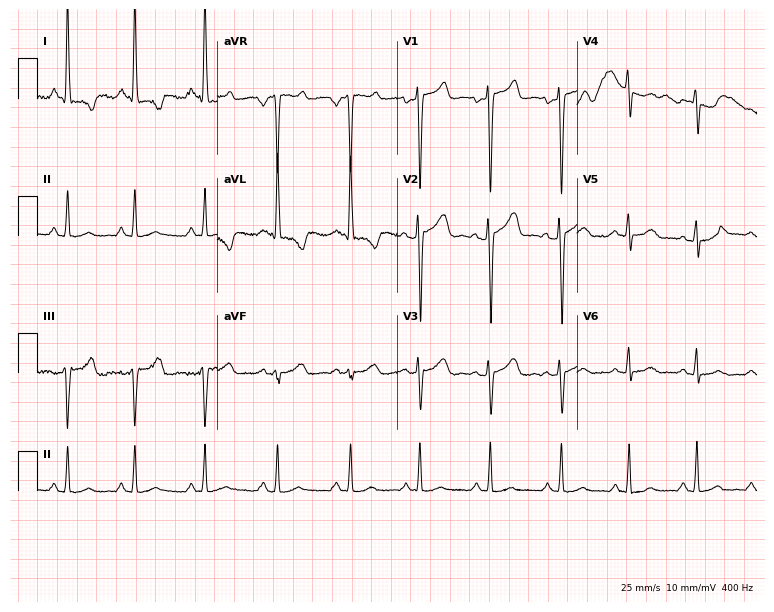
Electrocardiogram, a 36-year-old woman. Of the six screened findings (first-degree AV block, right bundle branch block, left bundle branch block, sinus bradycardia, atrial fibrillation, sinus tachycardia), none is recorded. Other findings, if any, are not listed.